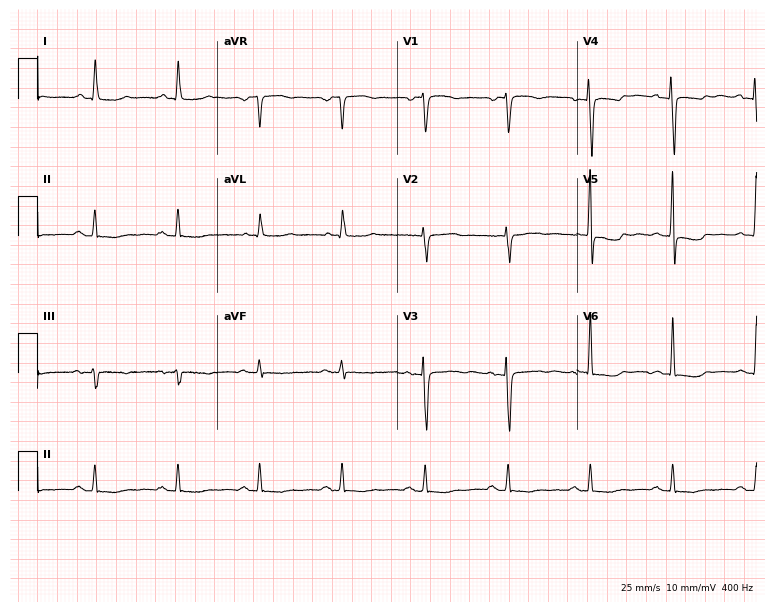
12-lead ECG from a 70-year-old woman. Screened for six findings — first-degree AV block, right bundle branch block (RBBB), left bundle branch block (LBBB), sinus bradycardia, atrial fibrillation (AF), sinus tachycardia — none is recorded.